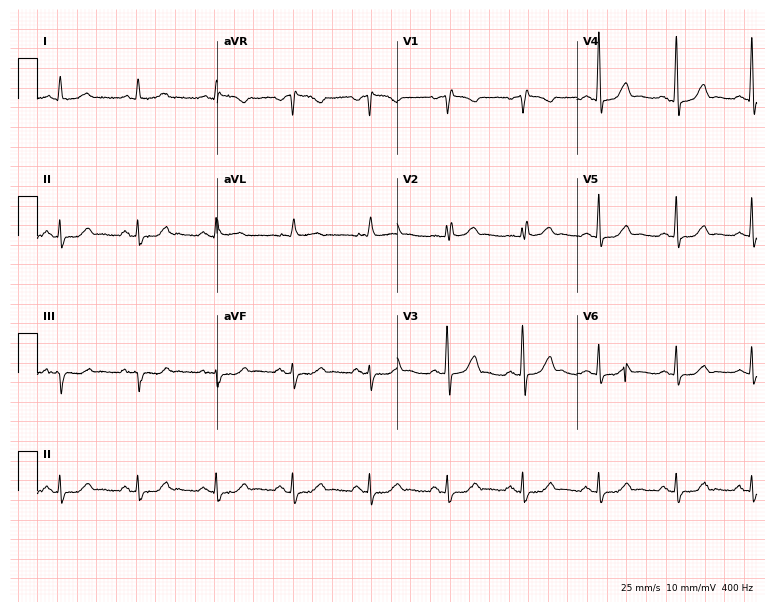
12-lead ECG from a 61-year-old female patient (7.3-second recording at 400 Hz). Recorded interpretation: within normal limits.